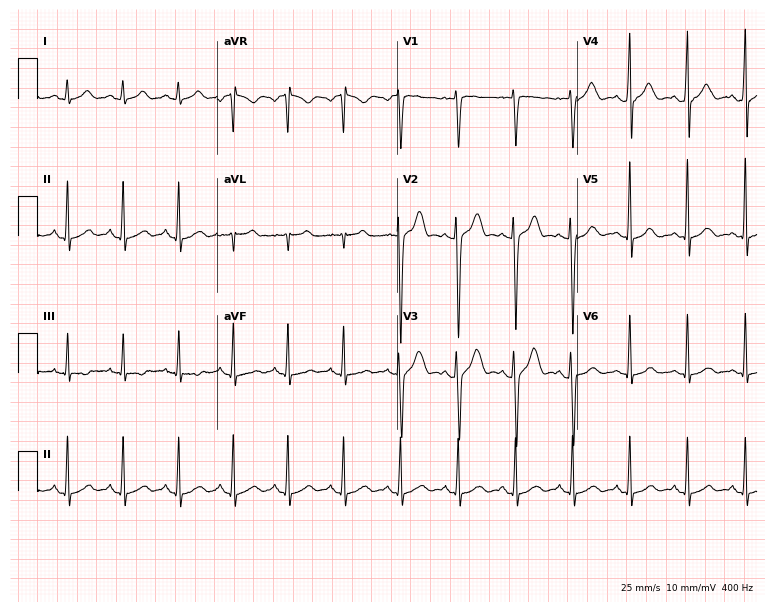
ECG (7.3-second recording at 400 Hz) — a 35-year-old male. Findings include sinus tachycardia (a sinus rate of 100 beats per minute or more).